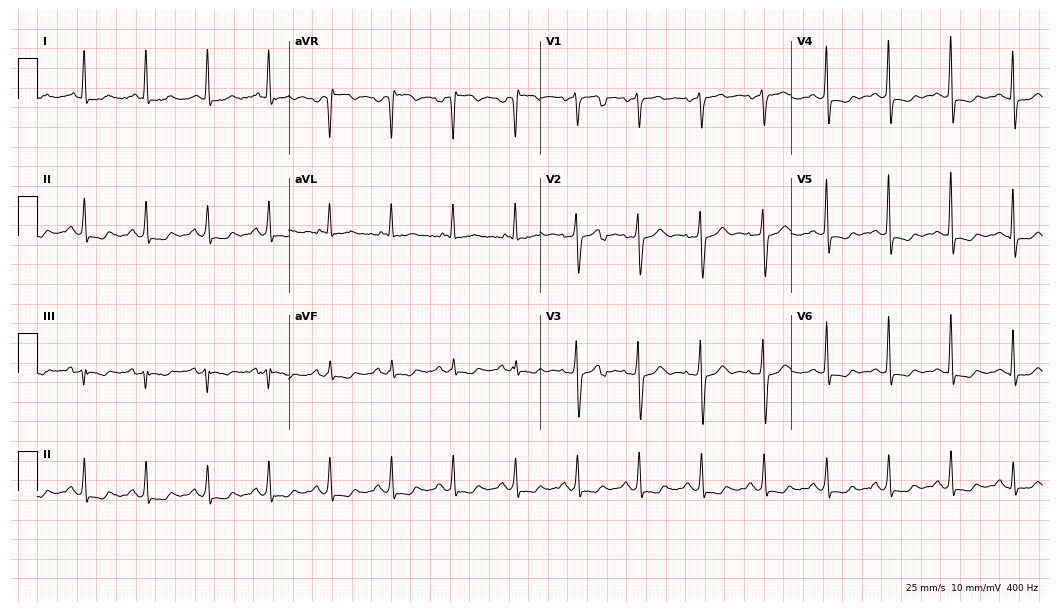
Resting 12-lead electrocardiogram. Patient: a woman, 66 years old. None of these six findings is recorded: first-degree AV block, right bundle branch block, left bundle branch block, sinus bradycardia, atrial fibrillation, sinus tachycardia.